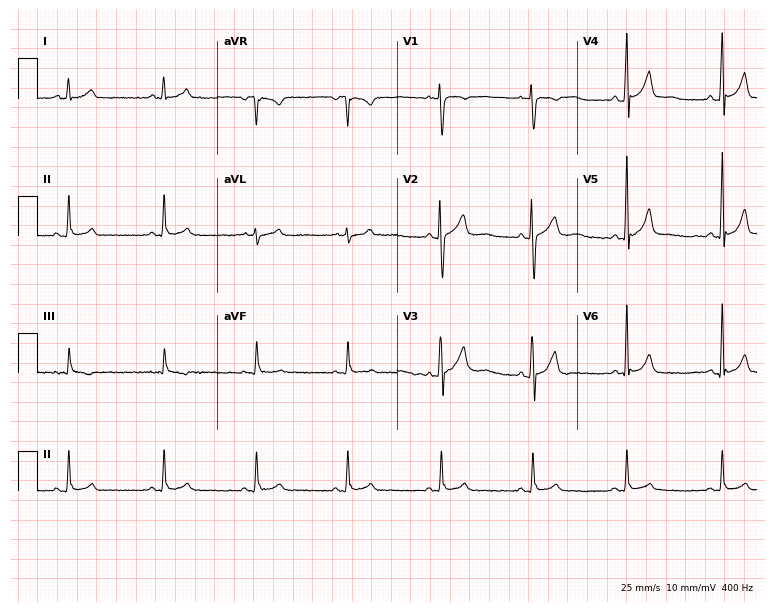
12-lead ECG (7.3-second recording at 400 Hz) from a male patient, 32 years old. Labelled as a normal ECG.